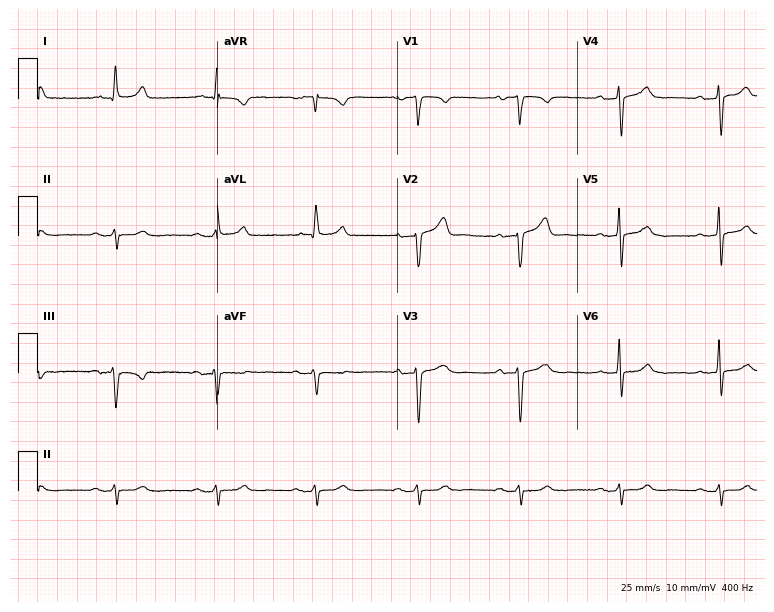
12-lead ECG from a male, 83 years old. No first-degree AV block, right bundle branch block, left bundle branch block, sinus bradycardia, atrial fibrillation or sinus tachycardia recorded for this tracing.